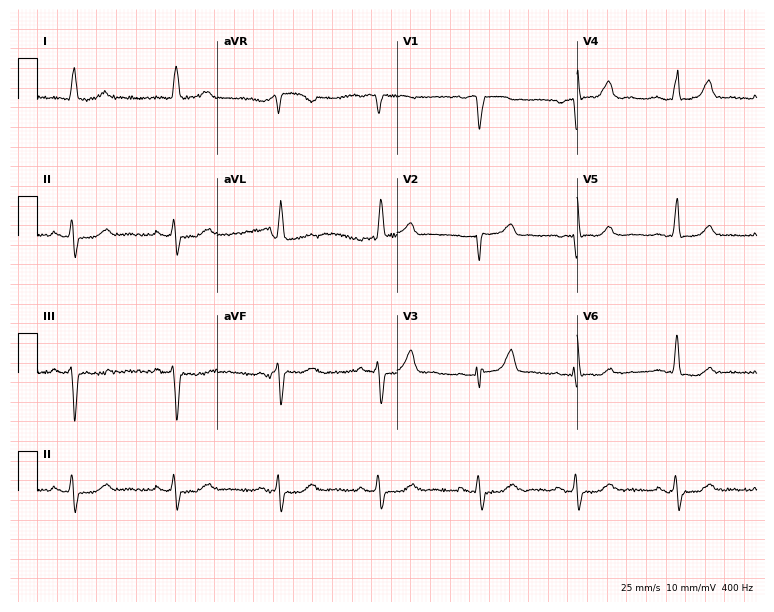
12-lead ECG from a female patient, 73 years old. Shows first-degree AV block.